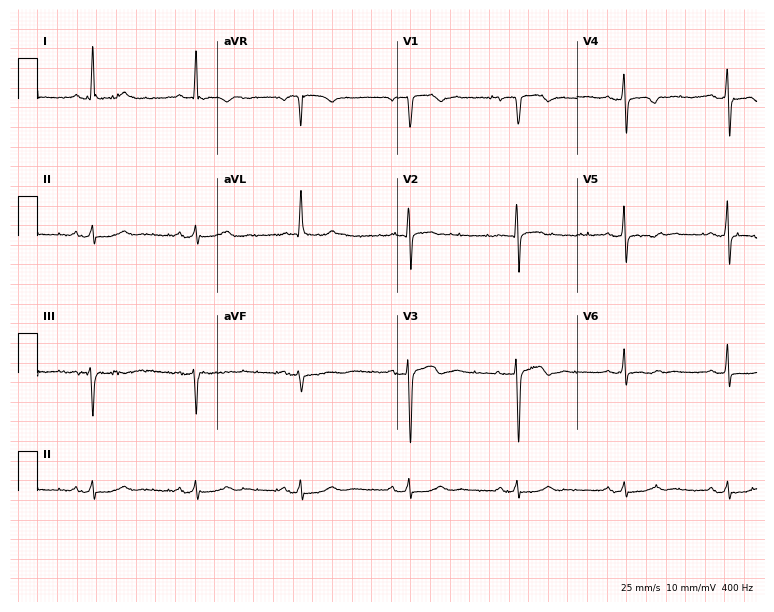
12-lead ECG from a female patient, 53 years old (7.3-second recording at 400 Hz). No first-degree AV block, right bundle branch block, left bundle branch block, sinus bradycardia, atrial fibrillation or sinus tachycardia recorded for this tracing. Findings outside these six are not listed.